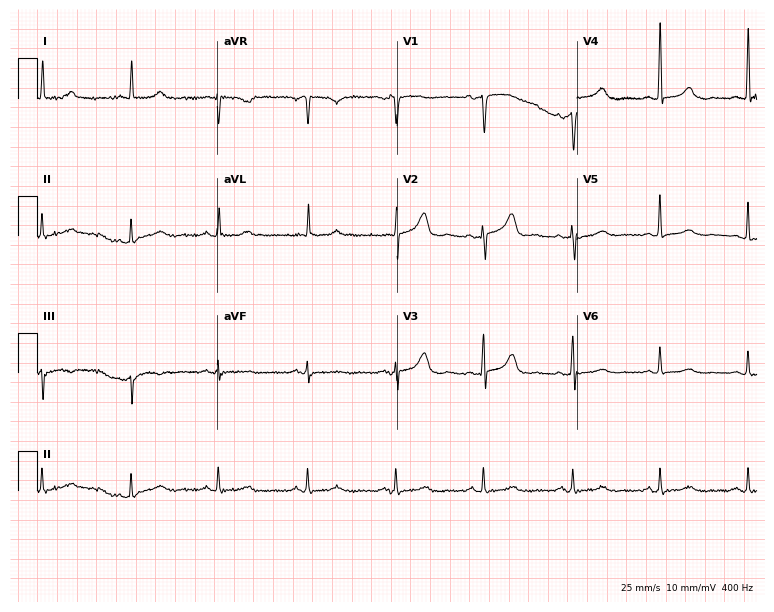
Electrocardiogram (7.3-second recording at 400 Hz), a 78-year-old female. Overall reading on record: normal ECG.